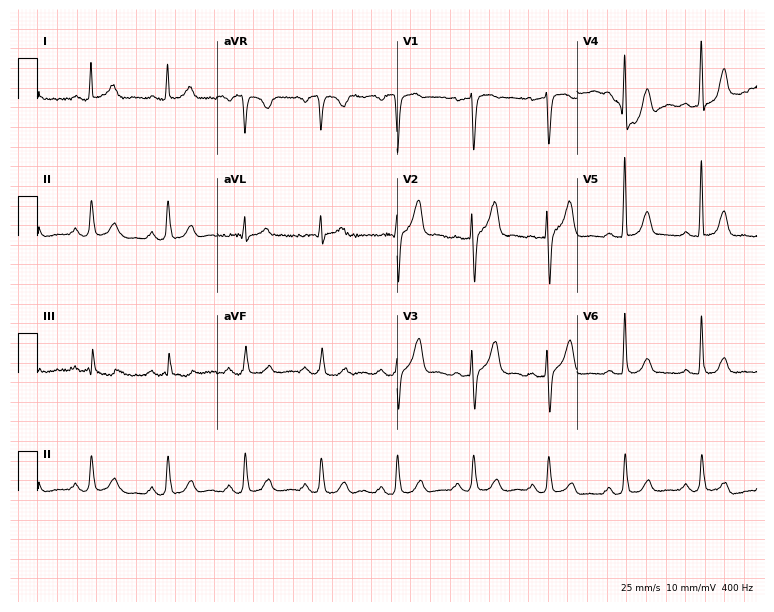
12-lead ECG from a 59-year-old male. Labelled as a normal ECG.